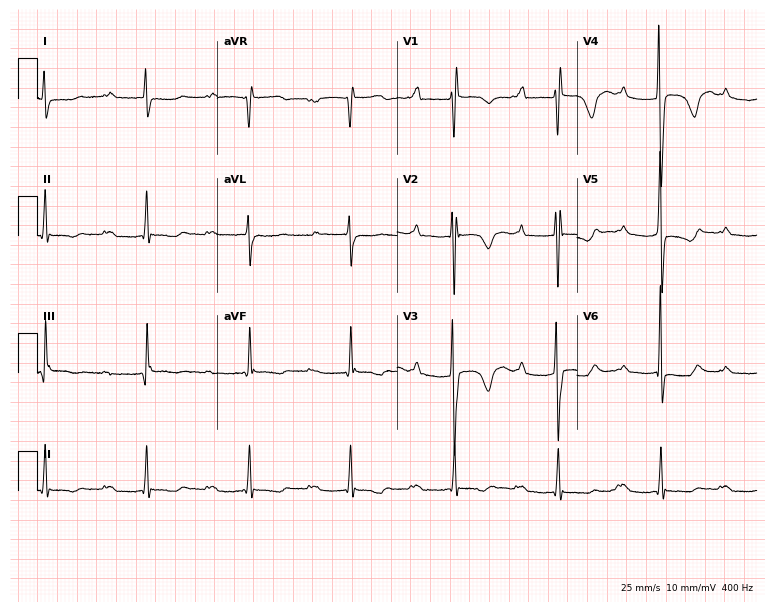
Standard 12-lead ECG recorded from a 50-year-old male patient (7.3-second recording at 400 Hz). The tracing shows first-degree AV block.